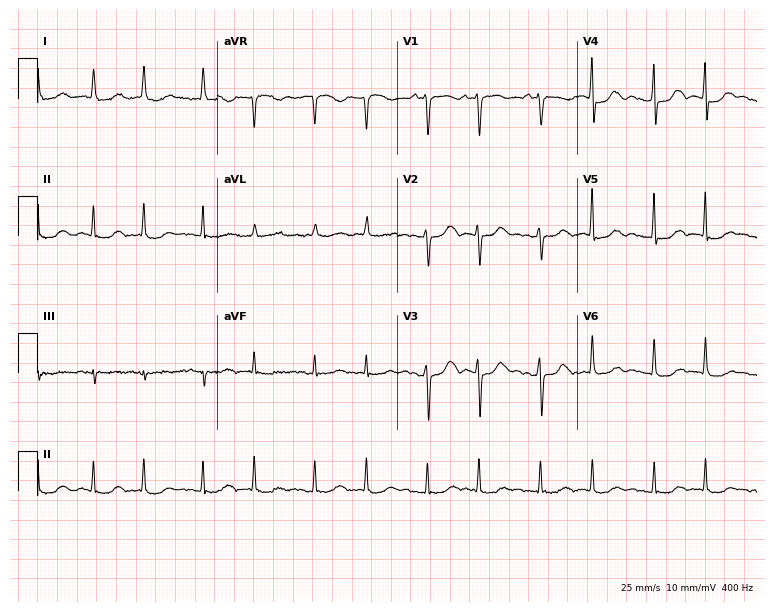
Resting 12-lead electrocardiogram. Patient: a female, 76 years old. The tracing shows sinus tachycardia (a sinus rate of 100 beats per minute or more).